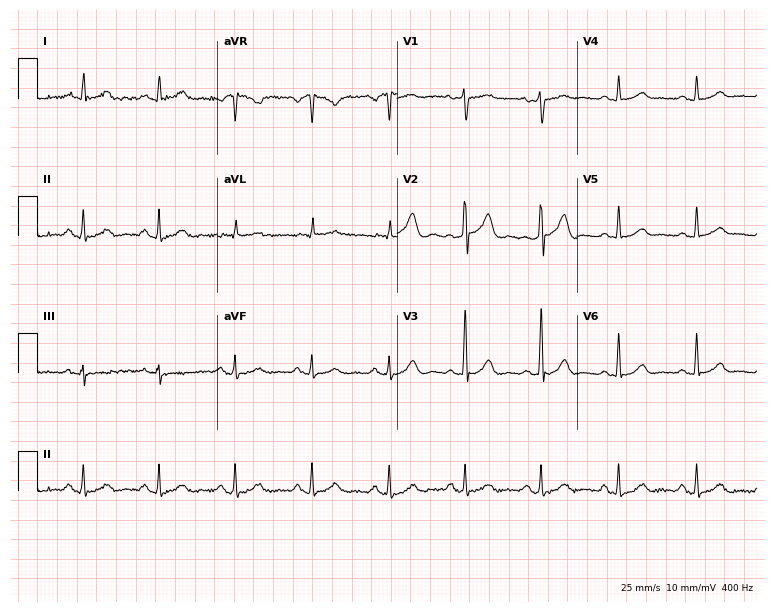
Resting 12-lead electrocardiogram (7.3-second recording at 400 Hz). Patient: a 47-year-old man. Read as a normal ECG.